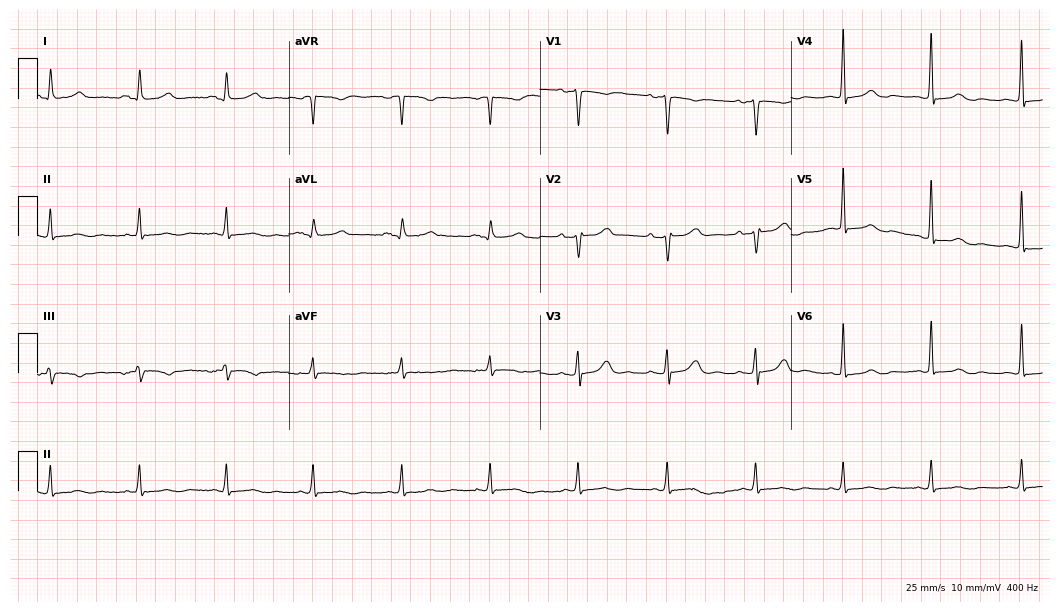
Resting 12-lead electrocardiogram (10.2-second recording at 400 Hz). Patient: a woman, 44 years old. Read as a normal ECG.